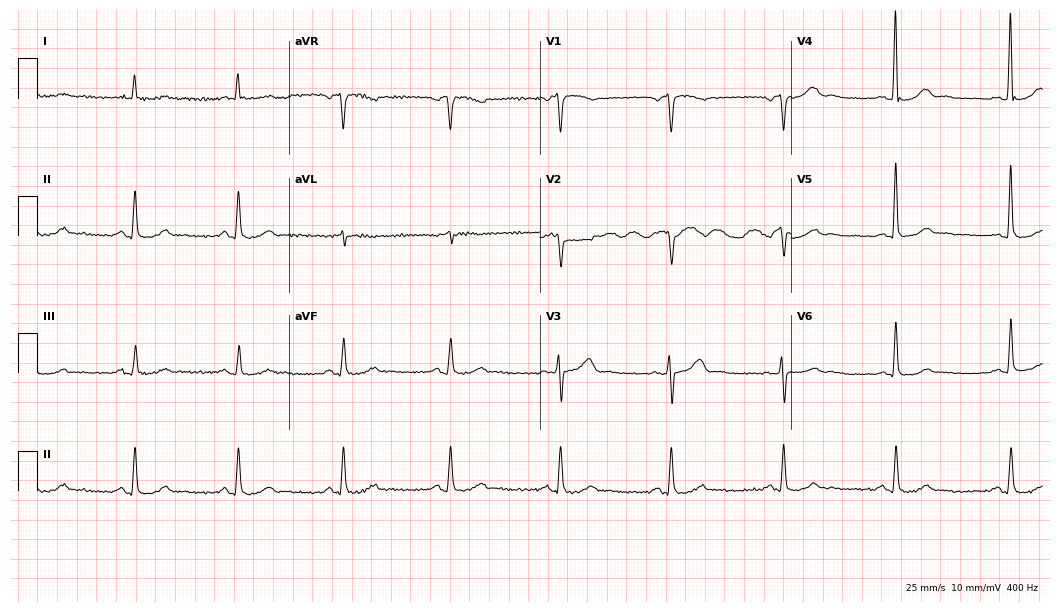
12-lead ECG from a man, 73 years old. Screened for six findings — first-degree AV block, right bundle branch block, left bundle branch block, sinus bradycardia, atrial fibrillation, sinus tachycardia — none is recorded. Only these six findings were labelled.